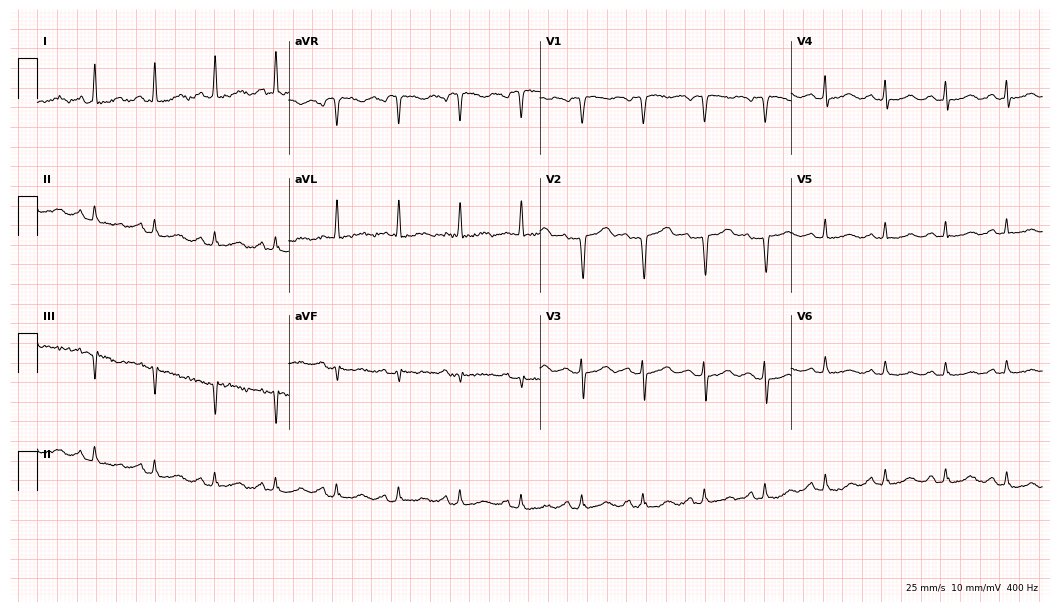
Standard 12-lead ECG recorded from a woman, 68 years old (10.2-second recording at 400 Hz). None of these six findings is recorded: first-degree AV block, right bundle branch block, left bundle branch block, sinus bradycardia, atrial fibrillation, sinus tachycardia. Findings outside these six are not listed.